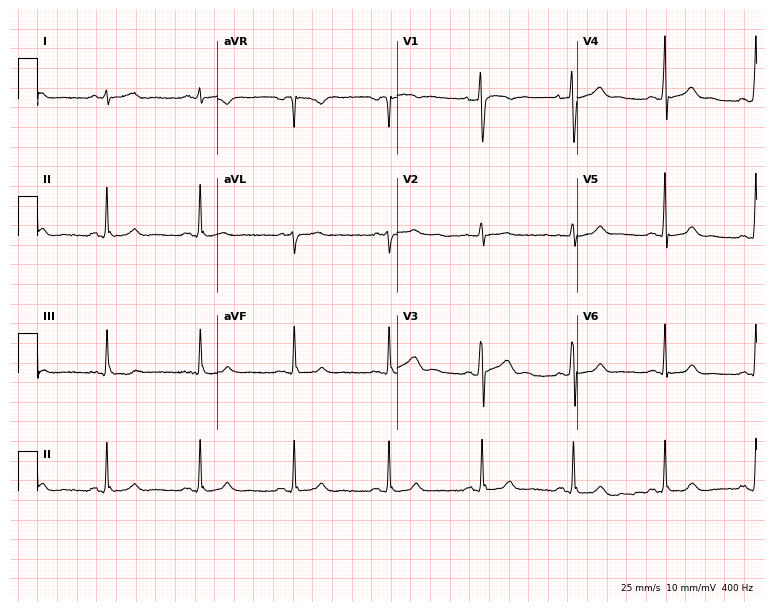
12-lead ECG from a 31-year-old male. Recorded interpretation: within normal limits.